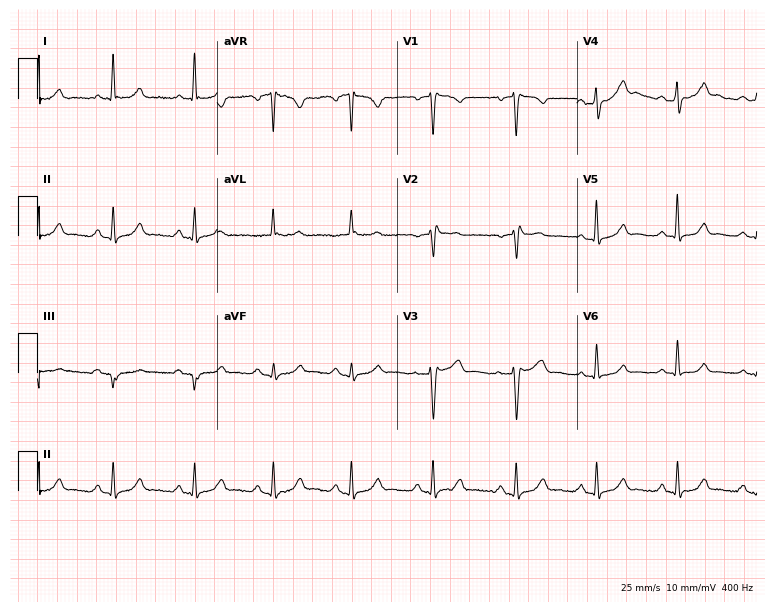
12-lead ECG from a woman, 40 years old. Labelled as a normal ECG.